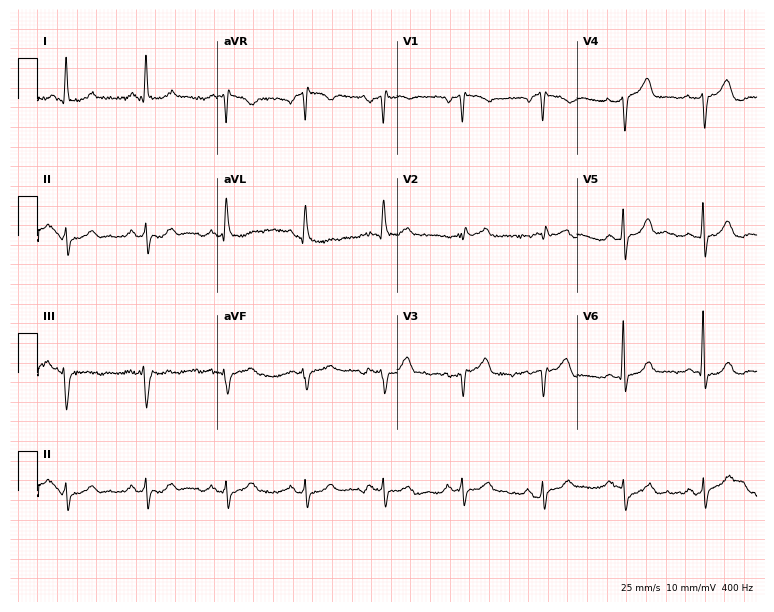
12-lead ECG from a 63-year-old man (7.3-second recording at 400 Hz). No first-degree AV block, right bundle branch block, left bundle branch block, sinus bradycardia, atrial fibrillation or sinus tachycardia recorded for this tracing.